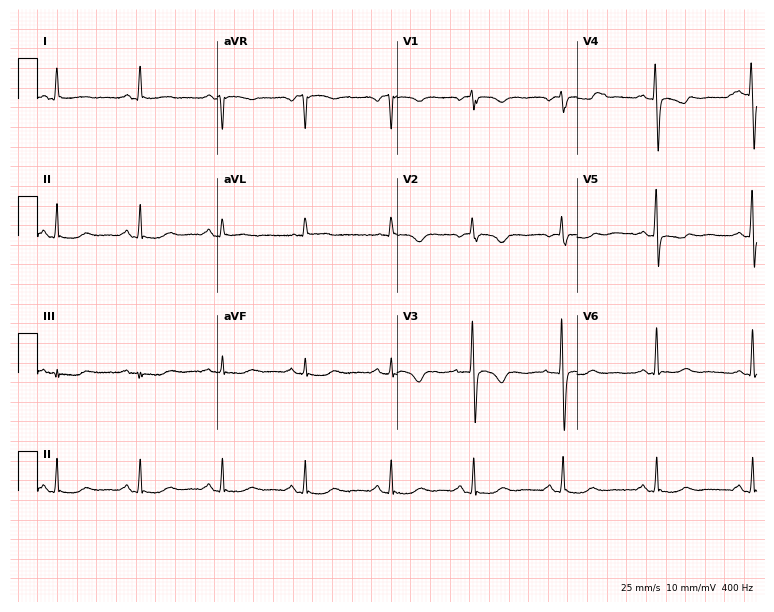
Standard 12-lead ECG recorded from a female, 62 years old. None of these six findings is recorded: first-degree AV block, right bundle branch block, left bundle branch block, sinus bradycardia, atrial fibrillation, sinus tachycardia.